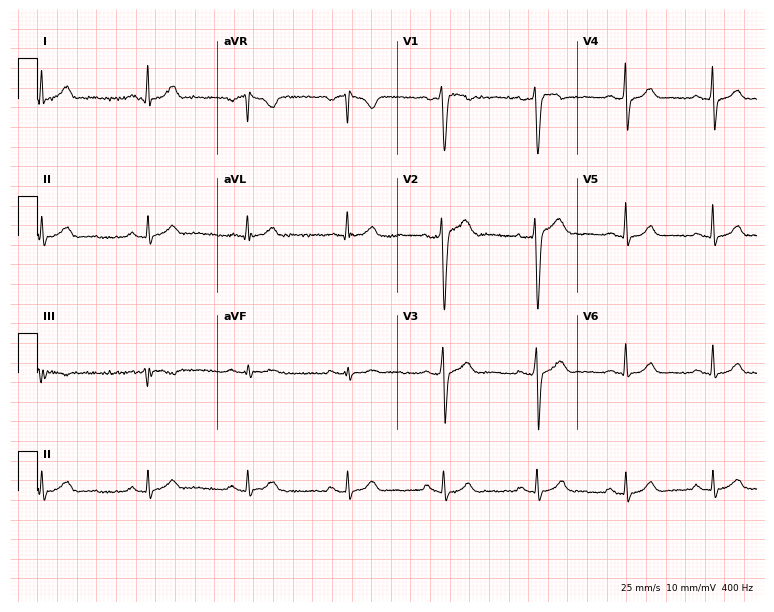
Electrocardiogram (7.3-second recording at 400 Hz), a 38-year-old man. Overall reading on record: normal ECG.